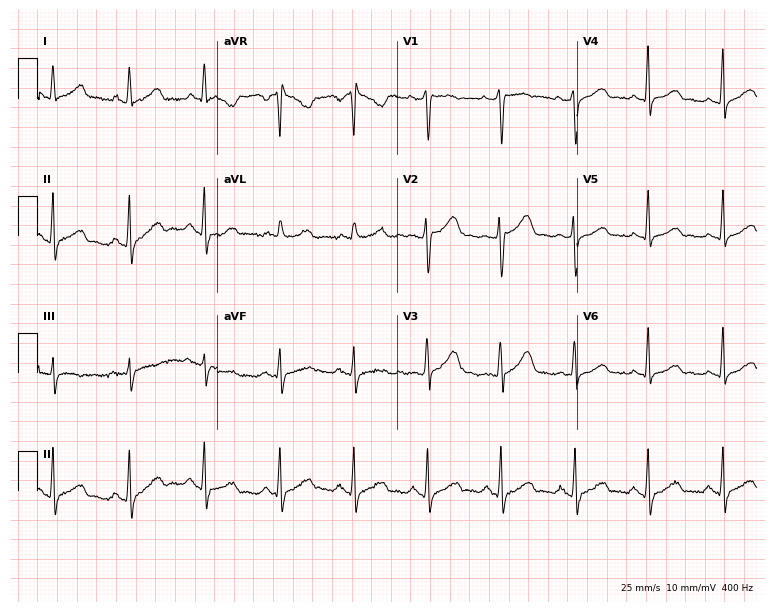
Electrocardiogram, a woman, 44 years old. Overall reading on record: normal ECG.